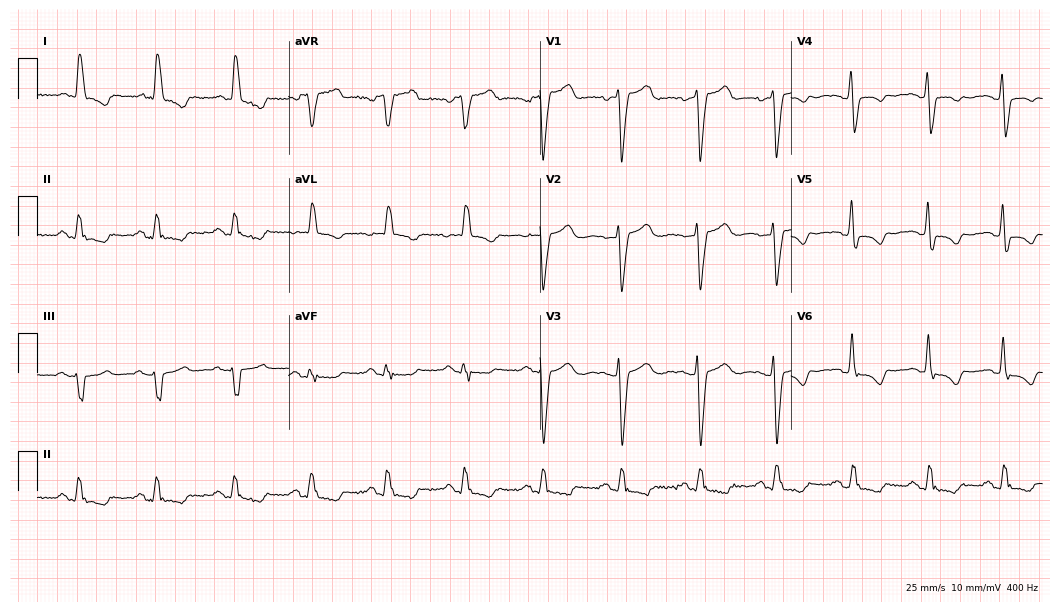
12-lead ECG (10.2-second recording at 400 Hz) from a woman, 78 years old. Findings include left bundle branch block (LBBB).